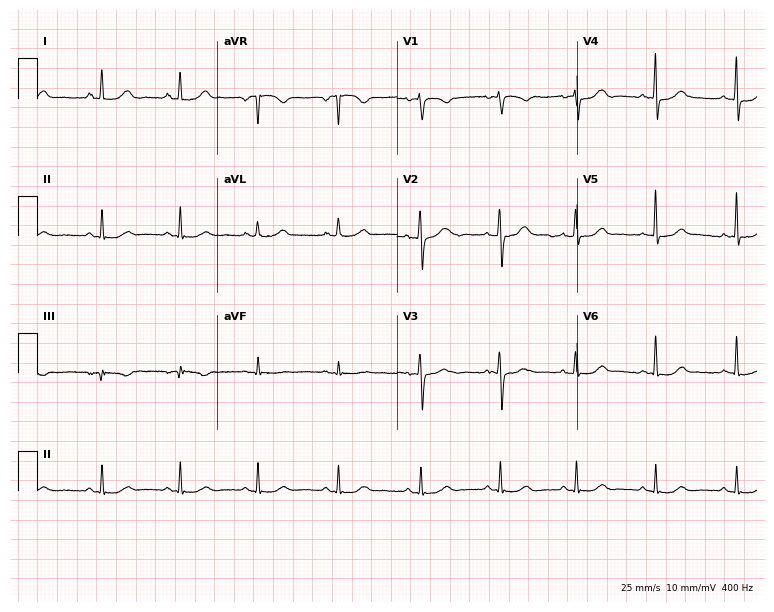
Resting 12-lead electrocardiogram. Patient: a 63-year-old female. Read as a normal ECG.